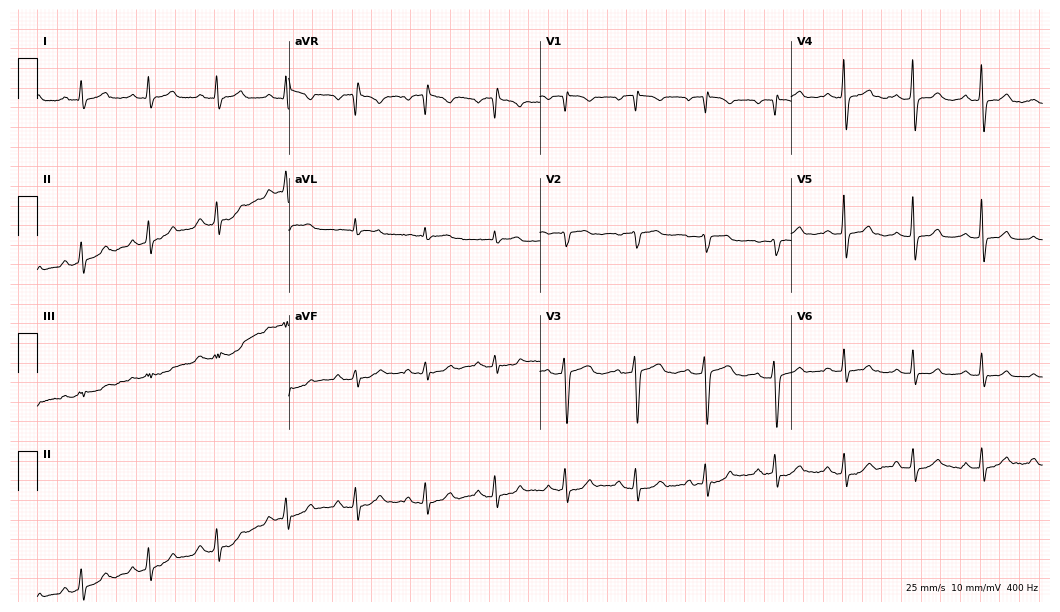
12-lead ECG from a woman, 48 years old (10.2-second recording at 400 Hz). Recorded interpretation: within normal limits.